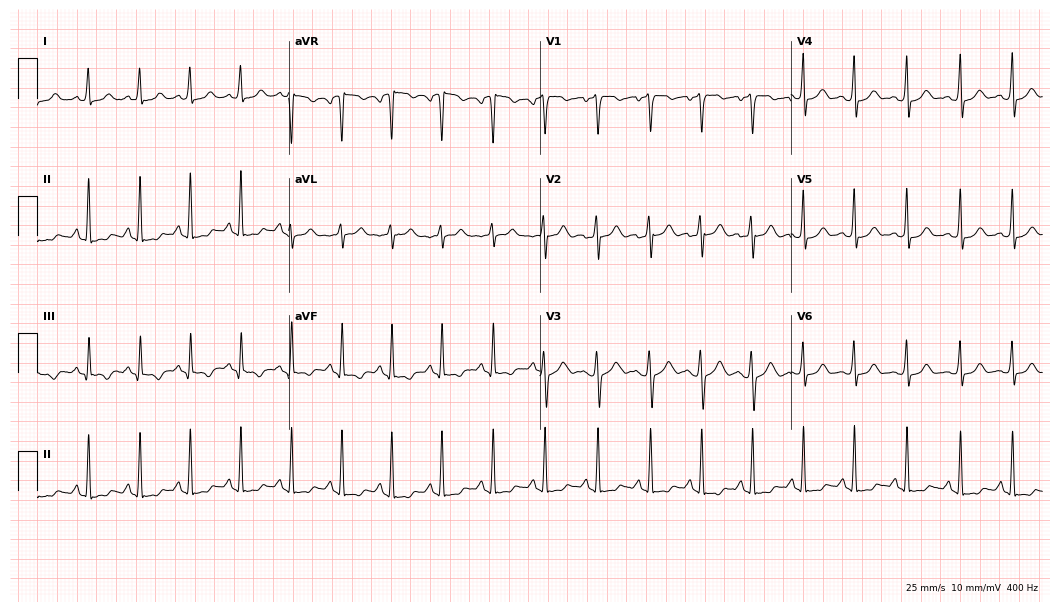
ECG — an 18-year-old female. Findings include sinus tachycardia (a sinus rate of 100 beats per minute or more).